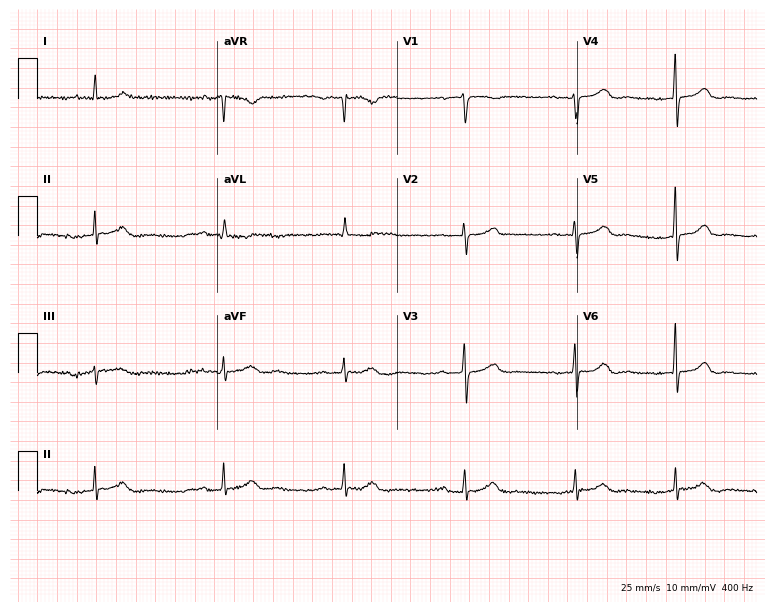
12-lead ECG from a 67-year-old female (7.3-second recording at 400 Hz). Recorded interpretation: within normal limits.